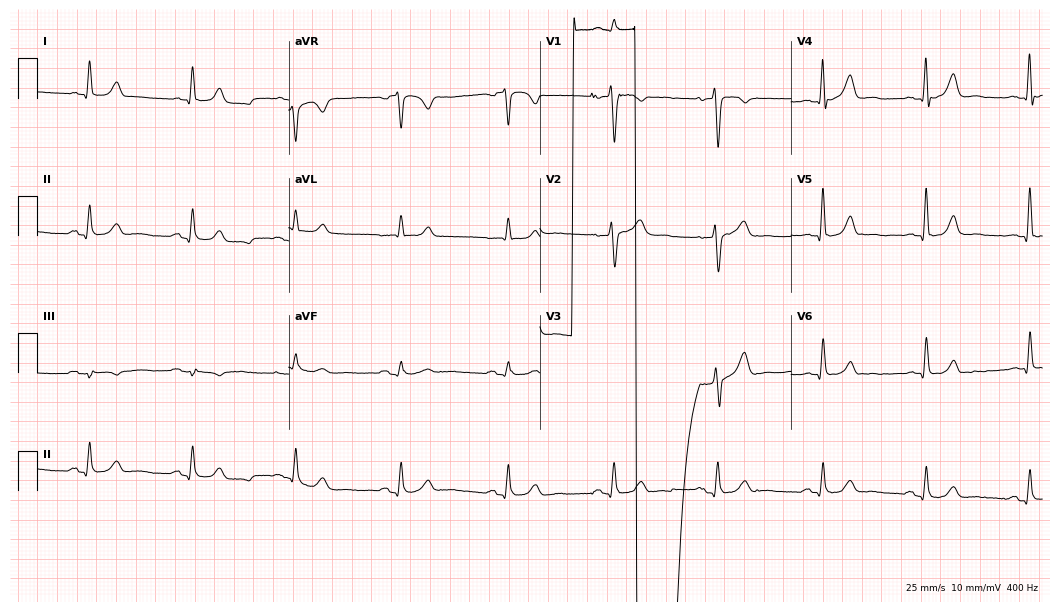
12-lead ECG from a 61-year-old male patient. Labelled as a normal ECG.